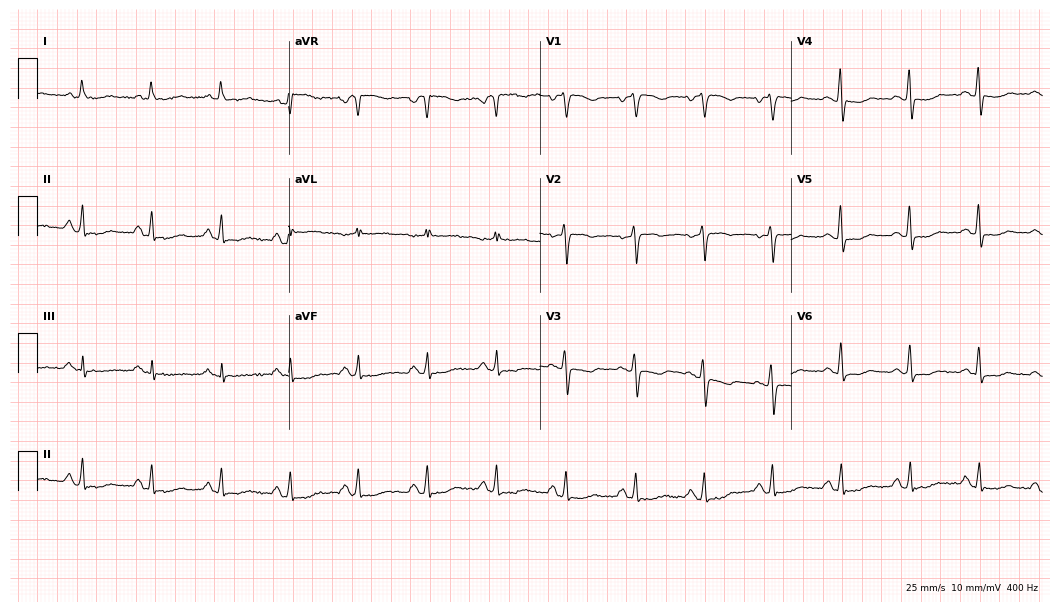
12-lead ECG from a female patient, 51 years old (10.2-second recording at 400 Hz). No first-degree AV block, right bundle branch block (RBBB), left bundle branch block (LBBB), sinus bradycardia, atrial fibrillation (AF) or sinus tachycardia recorded for this tracing. Other findings, if any, are not listed.